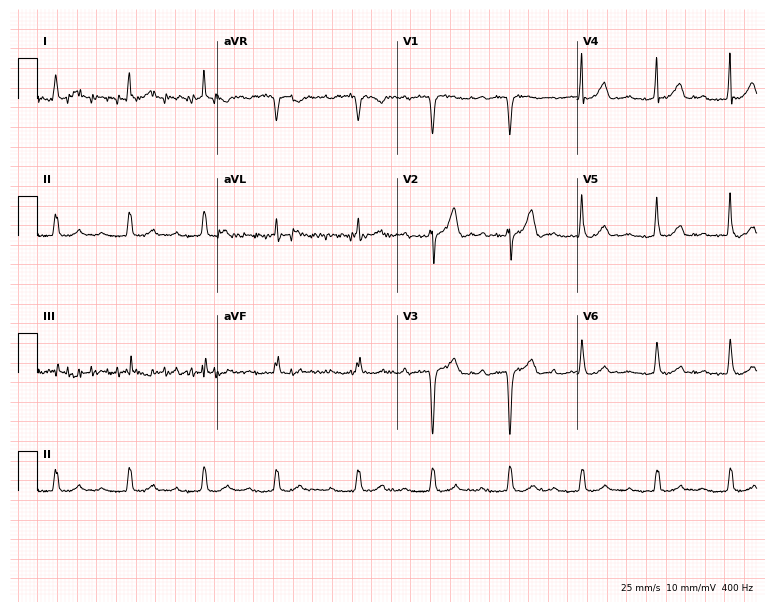
Standard 12-lead ECG recorded from a 76-year-old male patient. None of these six findings is recorded: first-degree AV block, right bundle branch block, left bundle branch block, sinus bradycardia, atrial fibrillation, sinus tachycardia. Only these six findings were labelled.